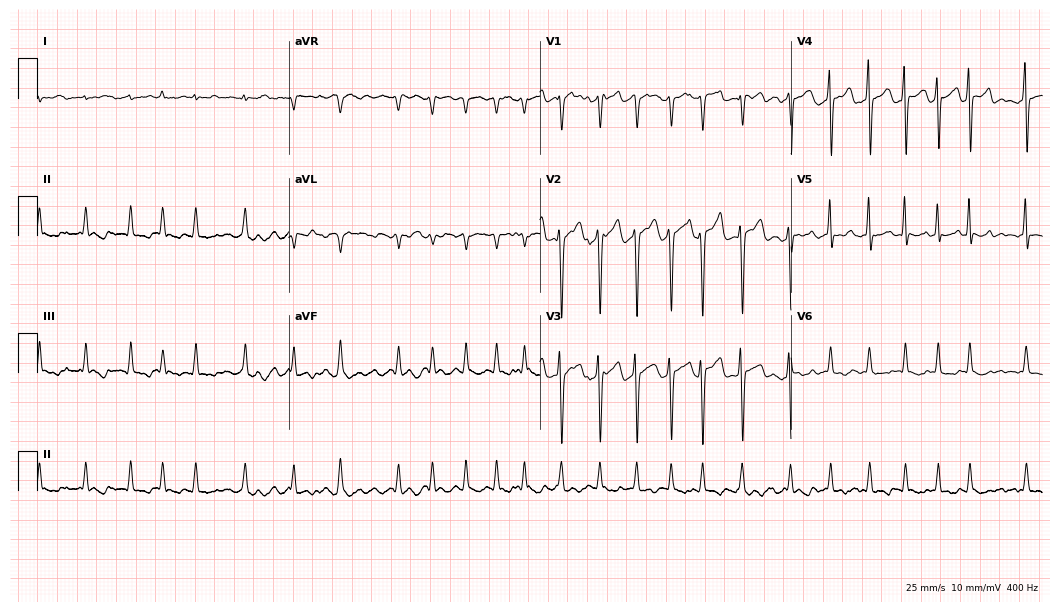
12-lead ECG from a woman, 67 years old (10.2-second recording at 400 Hz). No first-degree AV block, right bundle branch block, left bundle branch block, sinus bradycardia, atrial fibrillation or sinus tachycardia recorded for this tracing.